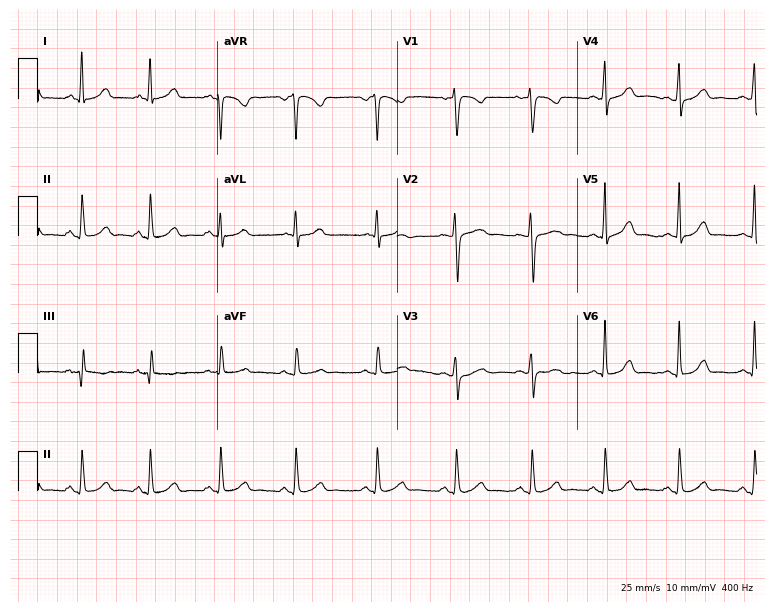
12-lead ECG (7.3-second recording at 400 Hz) from a female patient, 37 years old. Labelled as a normal ECG.